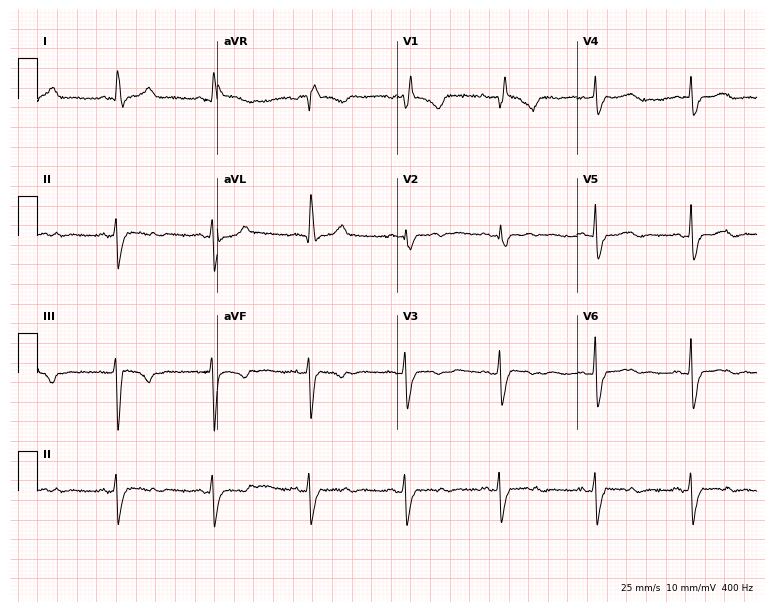
12-lead ECG from a 57-year-old woman. No first-degree AV block, right bundle branch block (RBBB), left bundle branch block (LBBB), sinus bradycardia, atrial fibrillation (AF) or sinus tachycardia recorded for this tracing.